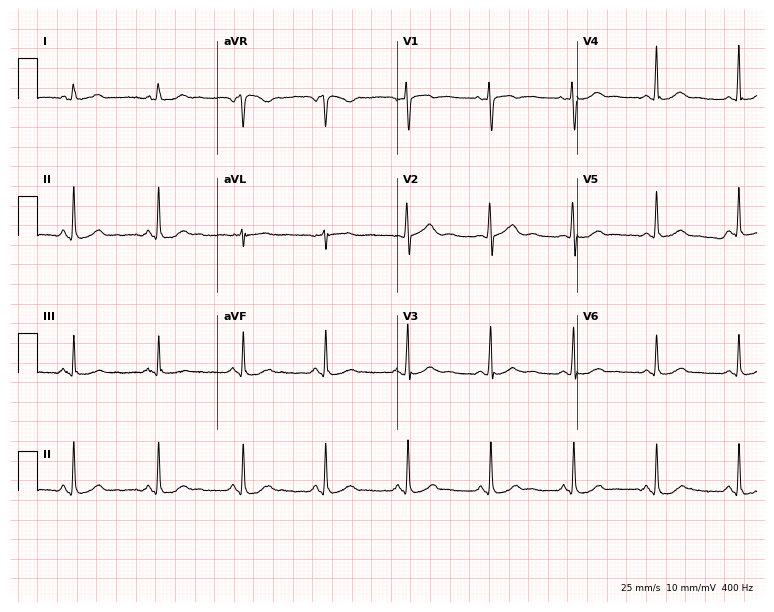
Electrocardiogram (7.3-second recording at 400 Hz), a female patient, 50 years old. Overall reading on record: normal ECG.